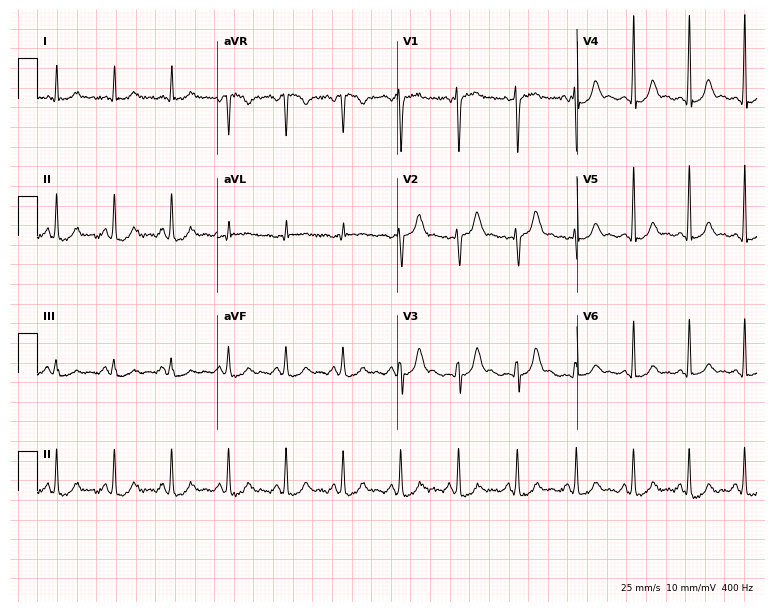
12-lead ECG from a female, 34 years old. Screened for six findings — first-degree AV block, right bundle branch block, left bundle branch block, sinus bradycardia, atrial fibrillation, sinus tachycardia — none is recorded.